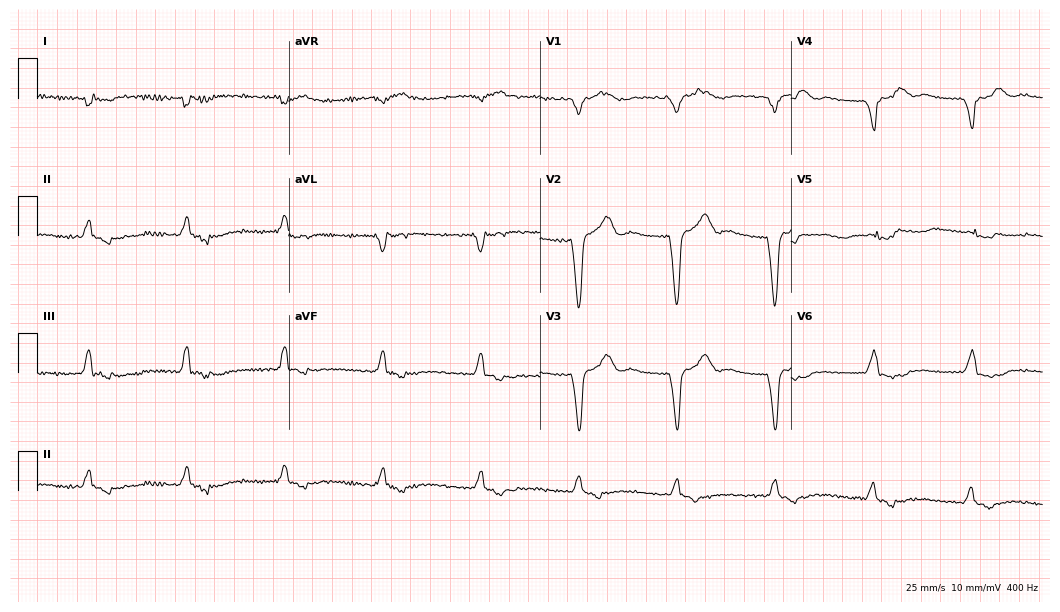
Electrocardiogram (10.2-second recording at 400 Hz), a male patient, 68 years old. Of the six screened findings (first-degree AV block, right bundle branch block, left bundle branch block, sinus bradycardia, atrial fibrillation, sinus tachycardia), none is recorded. Findings outside these six are not listed.